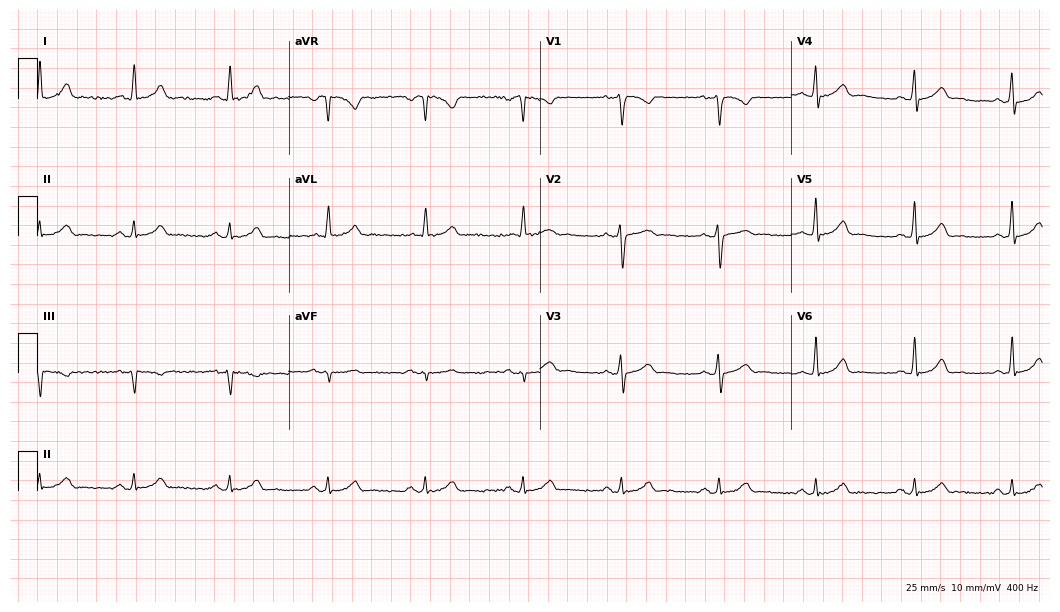
12-lead ECG from a 50-year-old male (10.2-second recording at 400 Hz). Recorded interpretation: within normal limits.